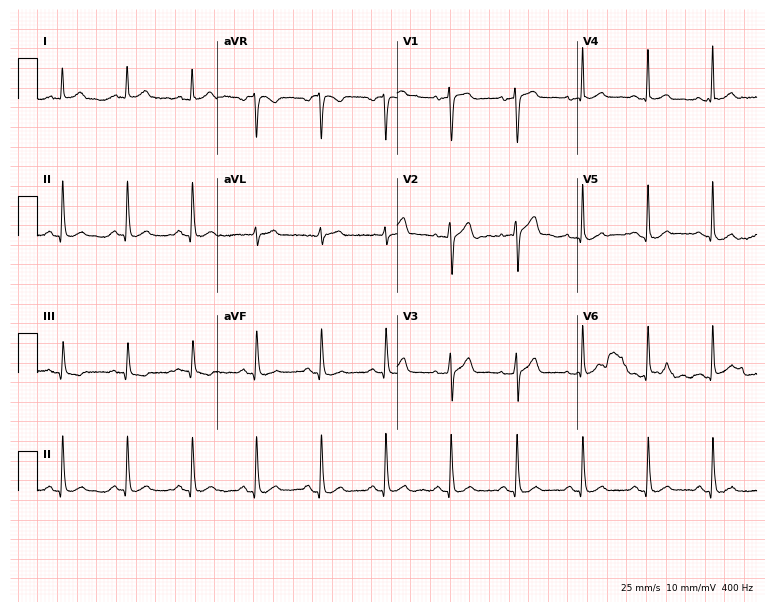
ECG (7.3-second recording at 400 Hz) — a female patient, 52 years old. Labelled as a normal ECG.